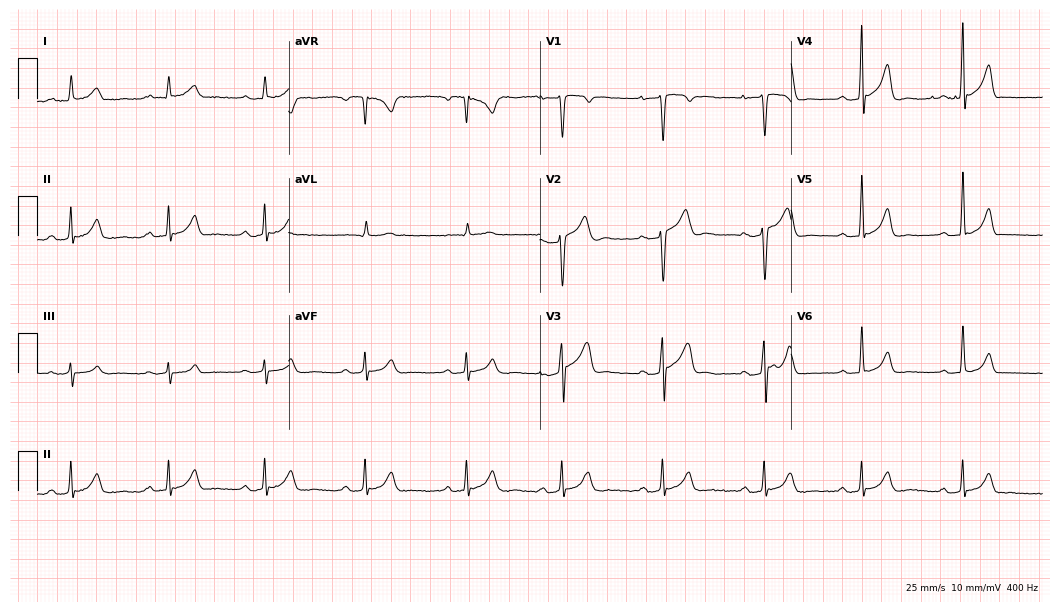
Standard 12-lead ECG recorded from a male patient, 23 years old. The tracing shows first-degree AV block.